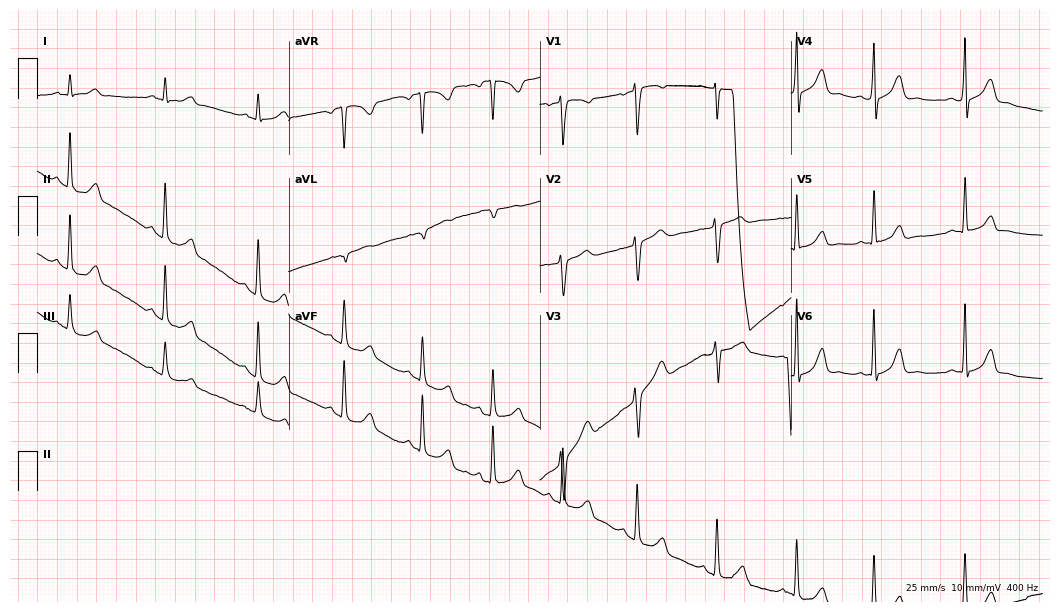
12-lead ECG from a 35-year-old woman. Screened for six findings — first-degree AV block, right bundle branch block, left bundle branch block, sinus bradycardia, atrial fibrillation, sinus tachycardia — none is recorded.